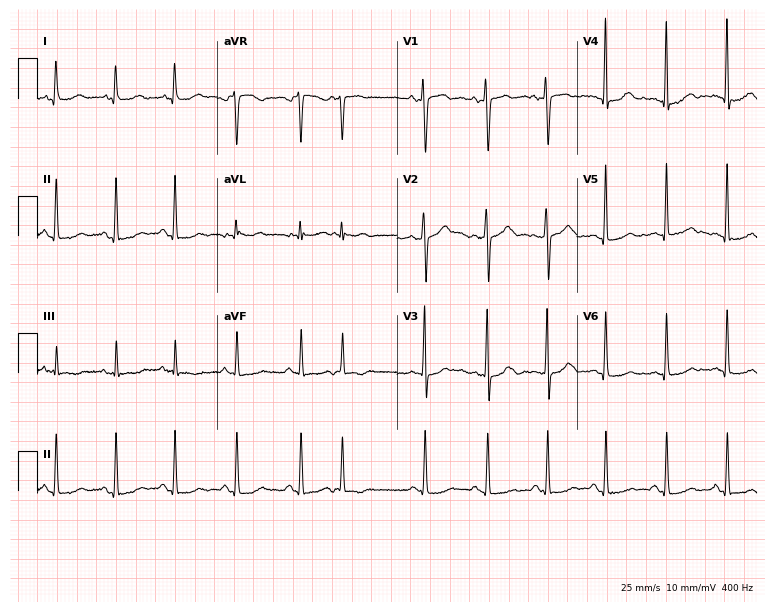
ECG — a woman, 33 years old. Screened for six findings — first-degree AV block, right bundle branch block, left bundle branch block, sinus bradycardia, atrial fibrillation, sinus tachycardia — none is recorded. Findings outside these six are not listed.